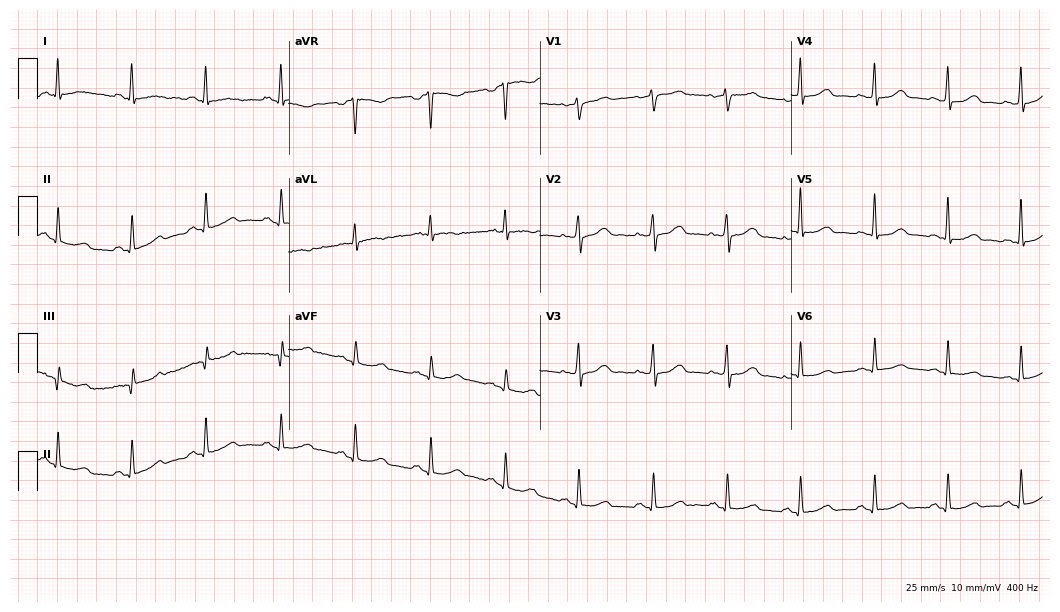
ECG — a female, 56 years old. Labelled as a normal ECG.